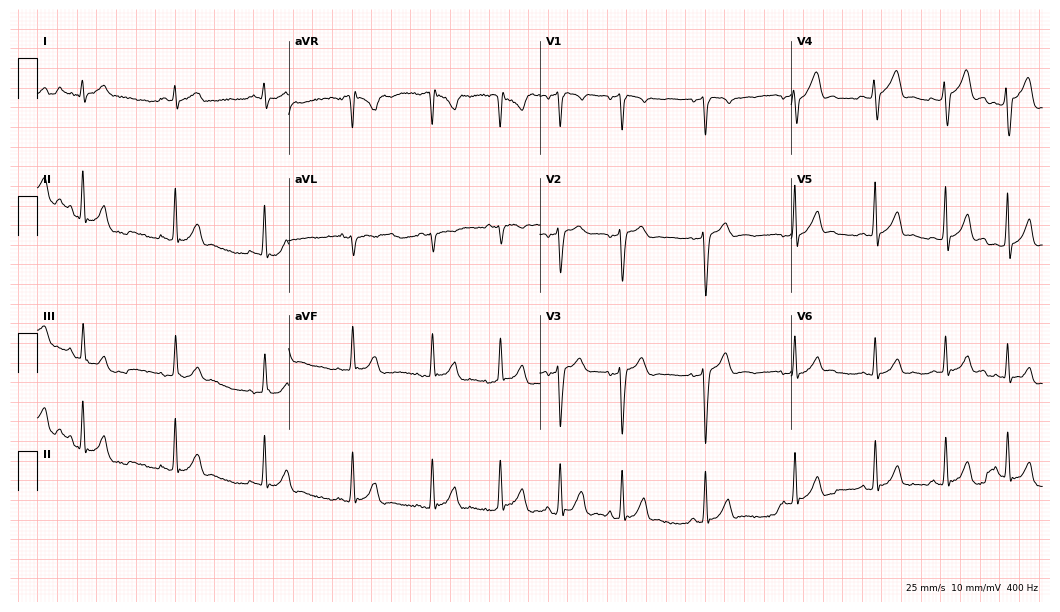
12-lead ECG (10.2-second recording at 400 Hz) from a male, 20 years old. Screened for six findings — first-degree AV block, right bundle branch block, left bundle branch block, sinus bradycardia, atrial fibrillation, sinus tachycardia — none is recorded. Other findings, if any, are not listed.